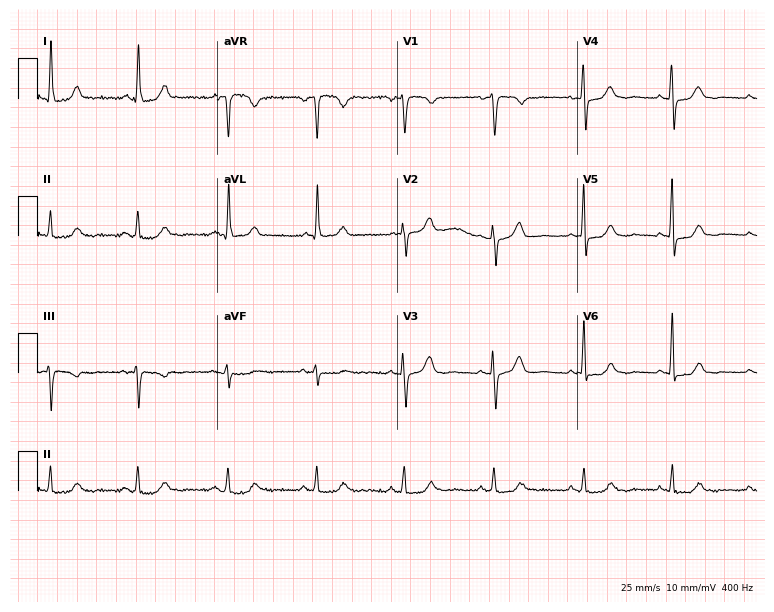
12-lead ECG from a 59-year-old female (7.3-second recording at 400 Hz). No first-degree AV block, right bundle branch block, left bundle branch block, sinus bradycardia, atrial fibrillation or sinus tachycardia recorded for this tracing.